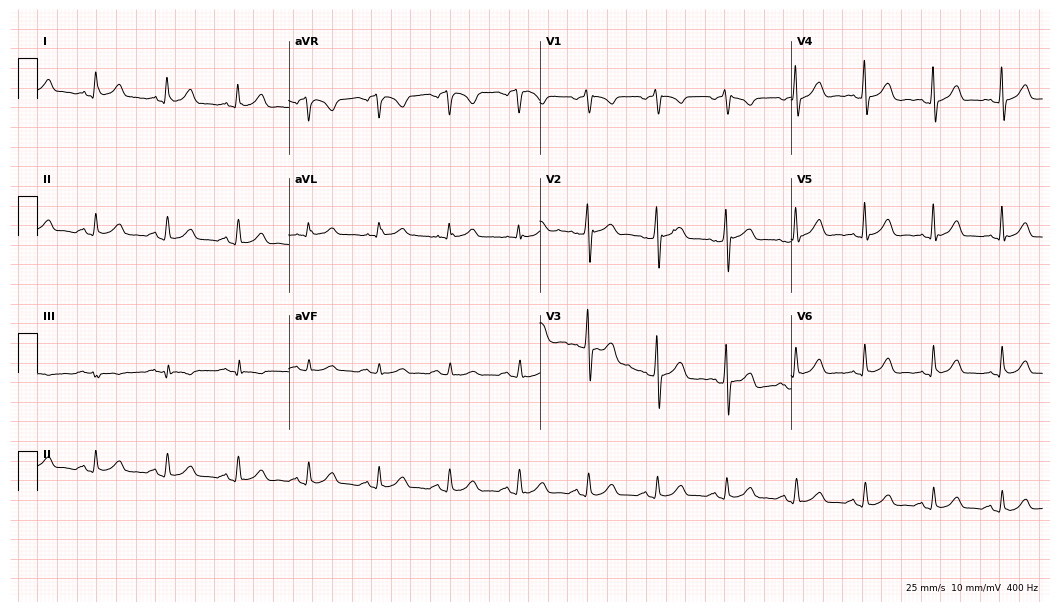
12-lead ECG from a 57-year-old male. Labelled as a normal ECG.